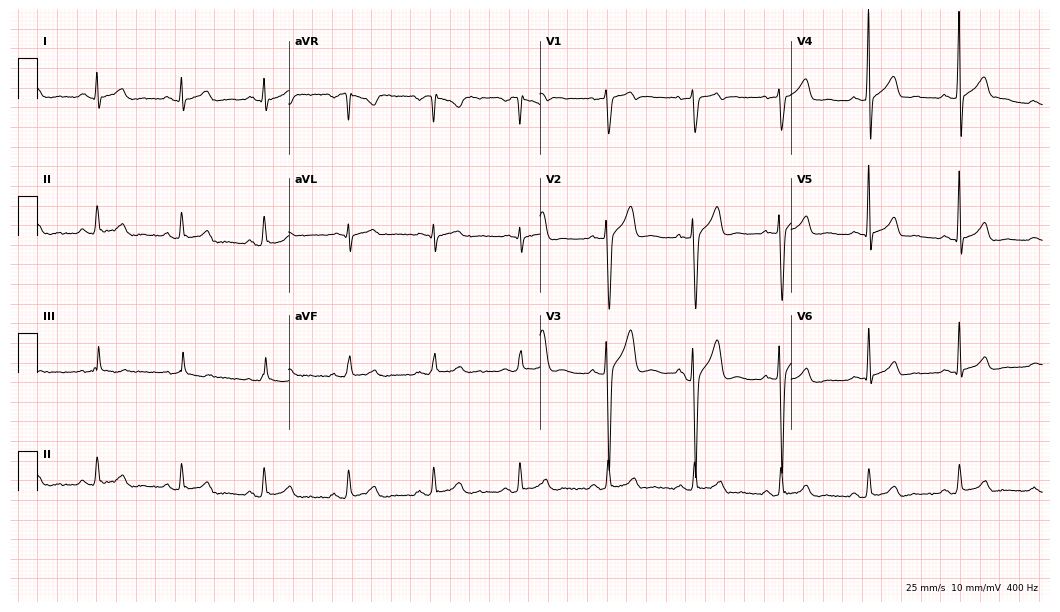
Resting 12-lead electrocardiogram. Patient: a male, 41 years old. None of these six findings is recorded: first-degree AV block, right bundle branch block, left bundle branch block, sinus bradycardia, atrial fibrillation, sinus tachycardia.